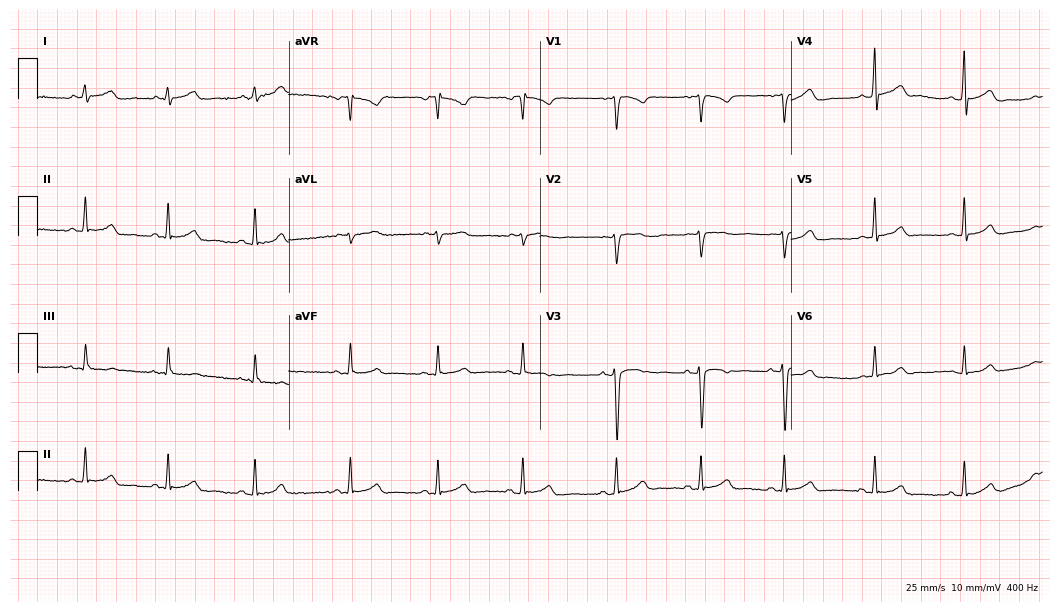
Electrocardiogram (10.2-second recording at 400 Hz), an 18-year-old woman. Of the six screened findings (first-degree AV block, right bundle branch block, left bundle branch block, sinus bradycardia, atrial fibrillation, sinus tachycardia), none is recorded. Findings outside these six are not listed.